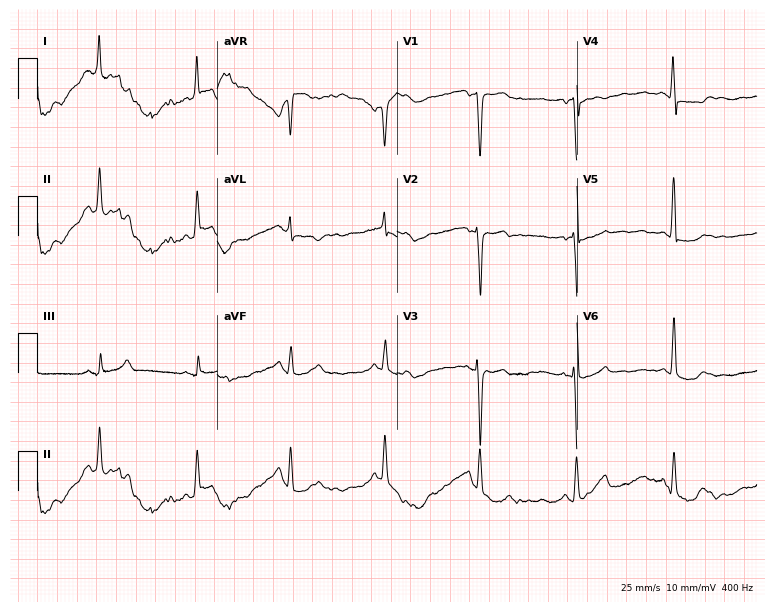
12-lead ECG from a female patient, 60 years old (7.3-second recording at 400 Hz). No first-degree AV block, right bundle branch block, left bundle branch block, sinus bradycardia, atrial fibrillation or sinus tachycardia recorded for this tracing. Findings outside these six are not listed.